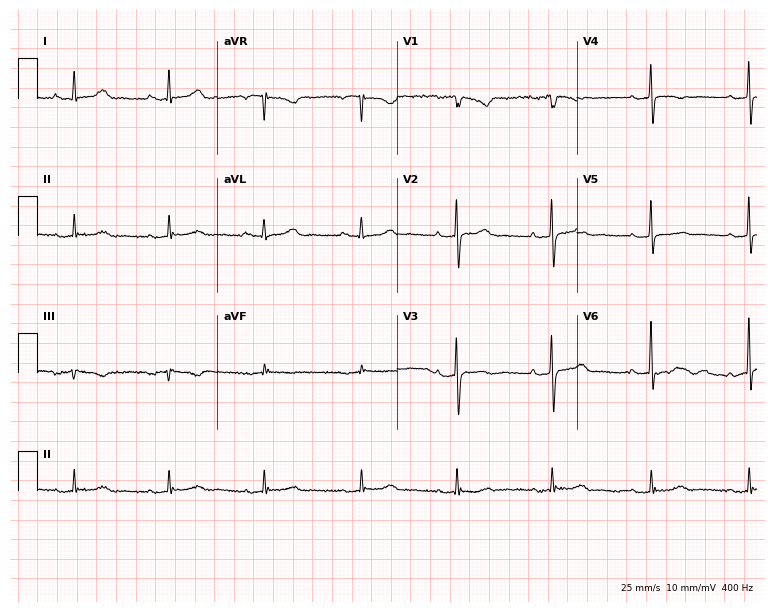
Resting 12-lead electrocardiogram. Patient: a female, 57 years old. Read as a normal ECG.